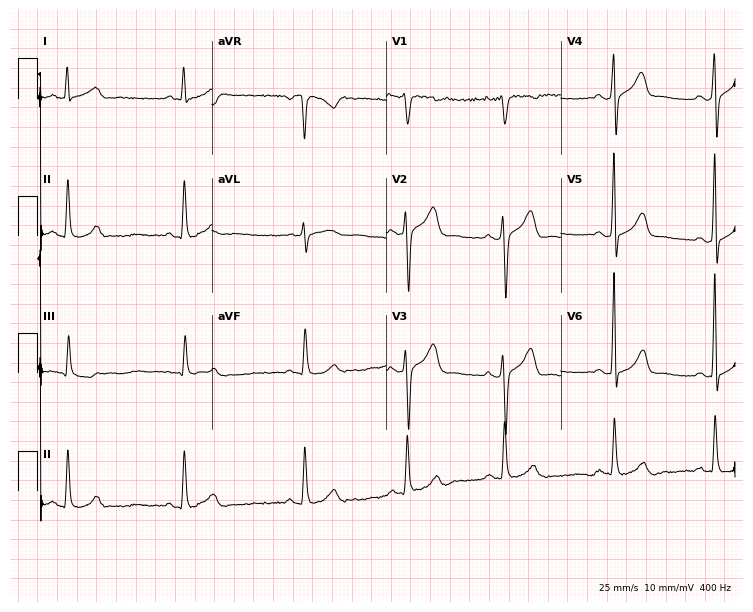
Resting 12-lead electrocardiogram (7.1-second recording at 400 Hz). Patient: a male, 38 years old. None of these six findings is recorded: first-degree AV block, right bundle branch block (RBBB), left bundle branch block (LBBB), sinus bradycardia, atrial fibrillation (AF), sinus tachycardia.